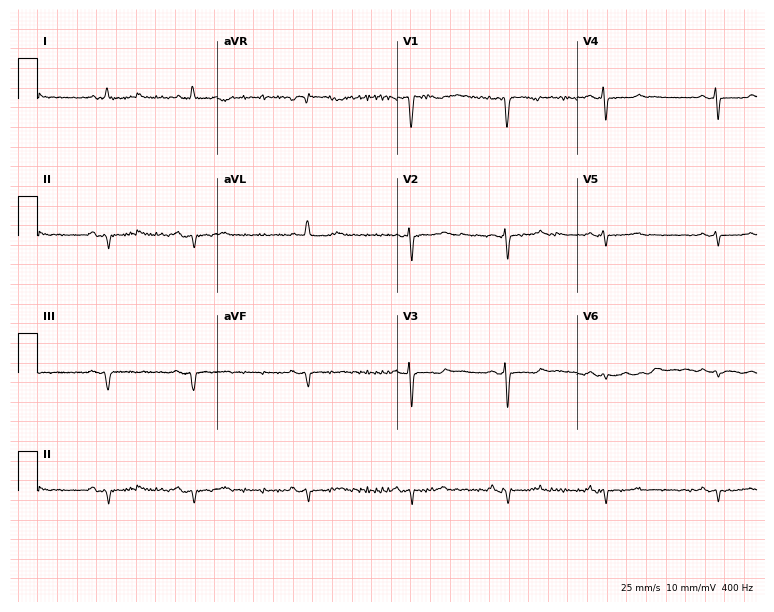
Standard 12-lead ECG recorded from a woman, 70 years old (7.3-second recording at 400 Hz). None of these six findings is recorded: first-degree AV block, right bundle branch block, left bundle branch block, sinus bradycardia, atrial fibrillation, sinus tachycardia.